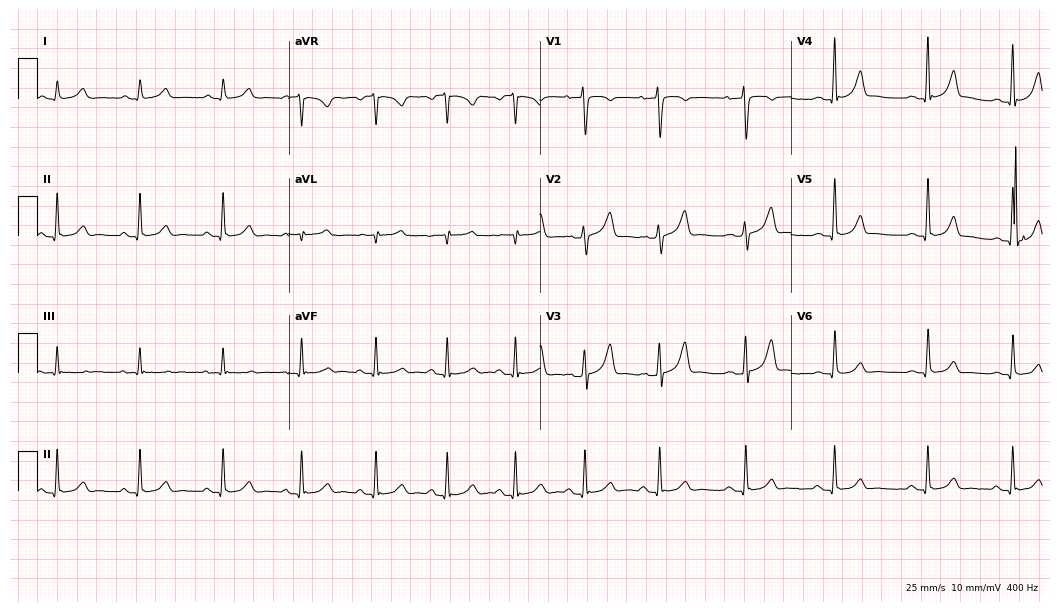
12-lead ECG from a female, 29 years old. No first-degree AV block, right bundle branch block (RBBB), left bundle branch block (LBBB), sinus bradycardia, atrial fibrillation (AF) or sinus tachycardia recorded for this tracing. Findings outside these six are not listed.